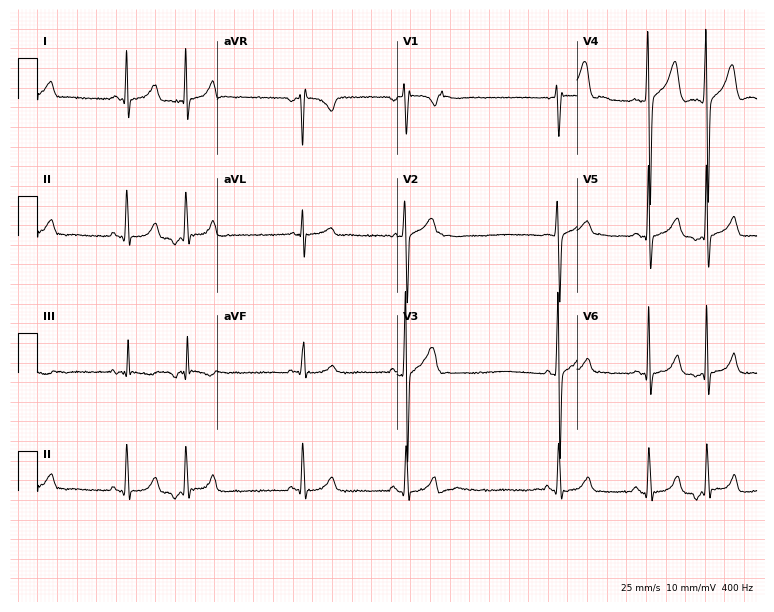
Resting 12-lead electrocardiogram. Patient: a male, 21 years old. None of these six findings is recorded: first-degree AV block, right bundle branch block (RBBB), left bundle branch block (LBBB), sinus bradycardia, atrial fibrillation (AF), sinus tachycardia. Findings outside these six are not listed.